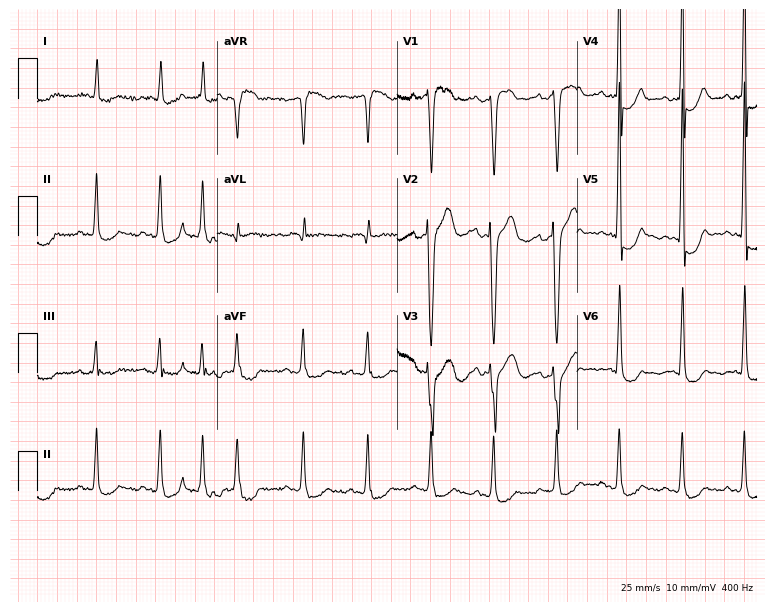
12-lead ECG (7.3-second recording at 400 Hz) from a man, 35 years old. Screened for six findings — first-degree AV block, right bundle branch block, left bundle branch block, sinus bradycardia, atrial fibrillation, sinus tachycardia — none is recorded.